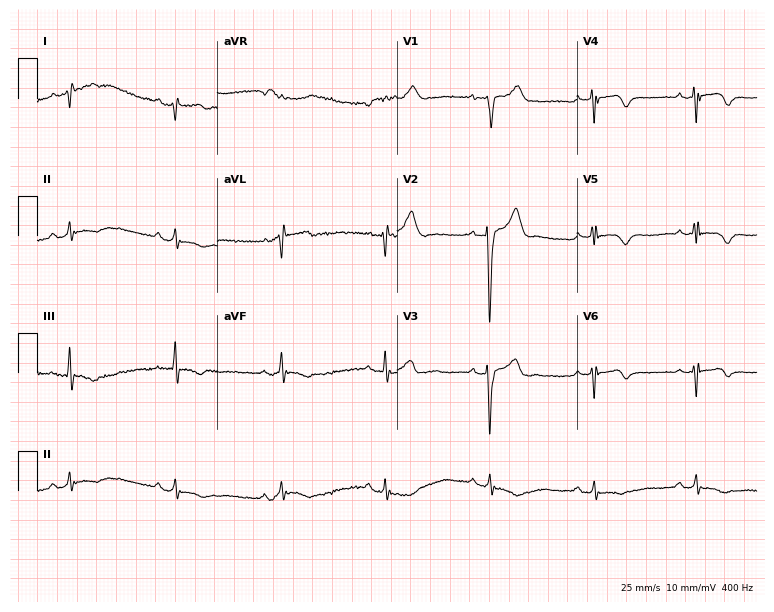
ECG — a 39-year-old male. Screened for six findings — first-degree AV block, right bundle branch block (RBBB), left bundle branch block (LBBB), sinus bradycardia, atrial fibrillation (AF), sinus tachycardia — none is recorded. Only these six findings were labelled.